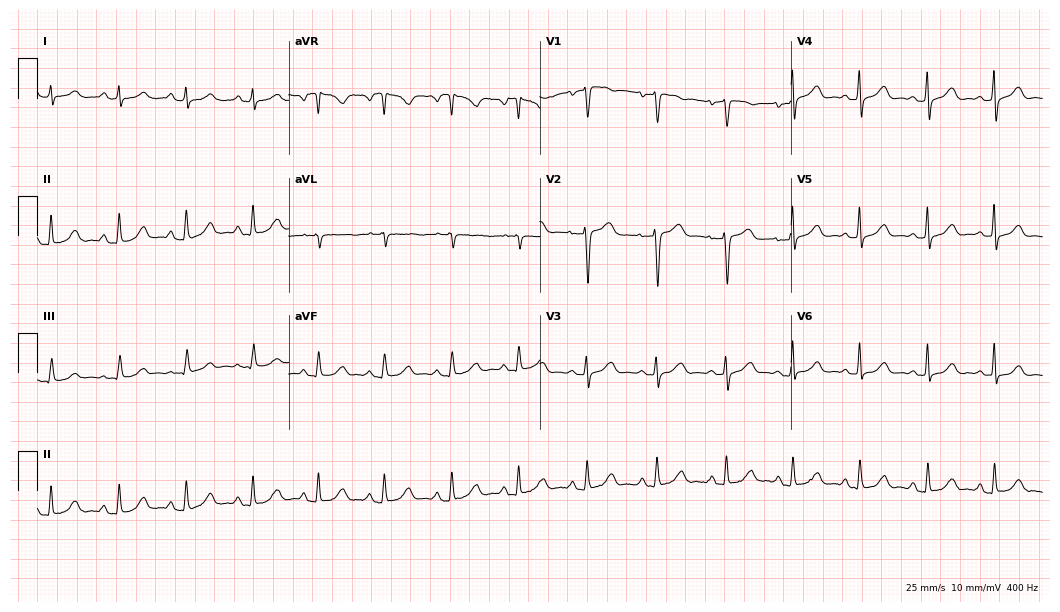
Resting 12-lead electrocardiogram. Patient: a woman, 57 years old. Read as a normal ECG.